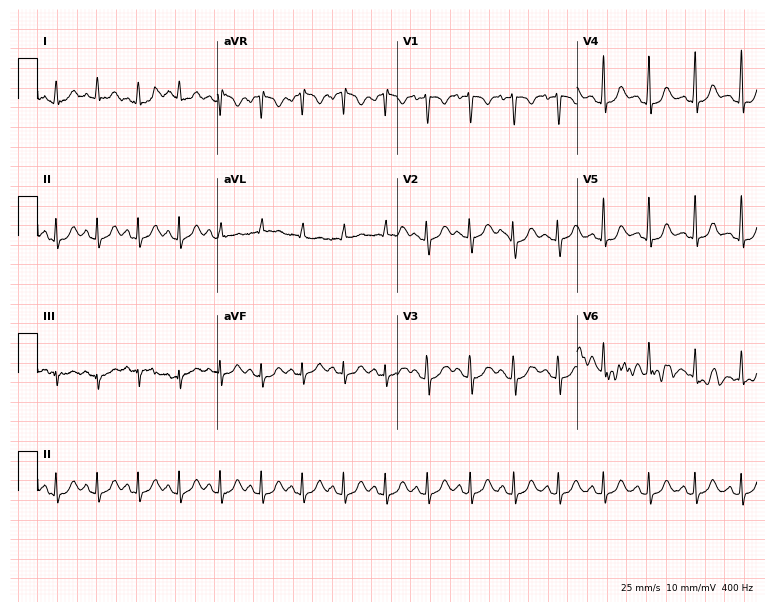
Standard 12-lead ECG recorded from a 25-year-old female patient (7.3-second recording at 400 Hz). The tracing shows sinus tachycardia (a sinus rate of 100 beats per minute or more).